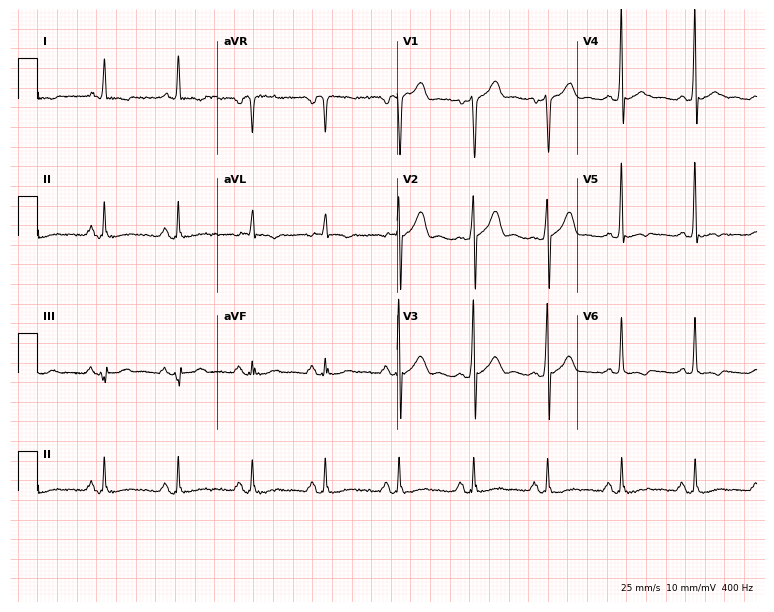
ECG — a 58-year-old man. Screened for six findings — first-degree AV block, right bundle branch block (RBBB), left bundle branch block (LBBB), sinus bradycardia, atrial fibrillation (AF), sinus tachycardia — none is recorded. Findings outside these six are not listed.